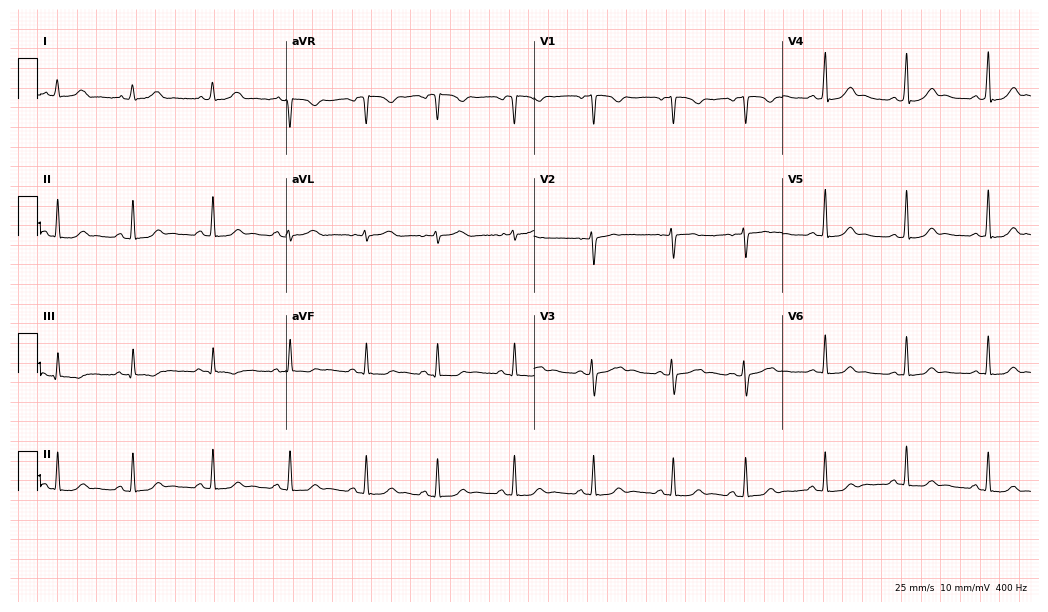
12-lead ECG from a female, 22 years old (10.1-second recording at 400 Hz). Recorded interpretation: within normal limits.